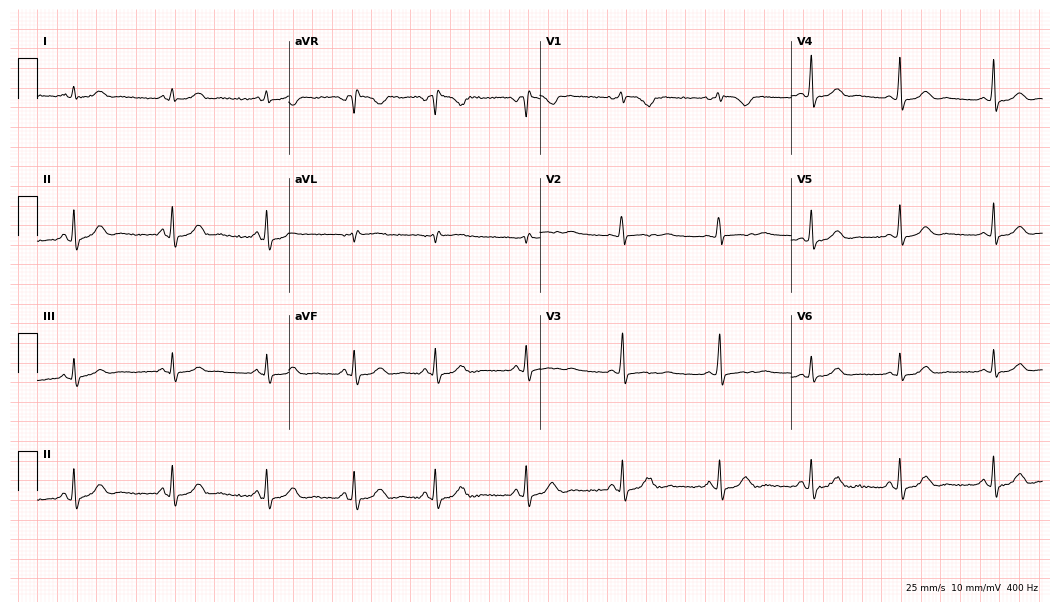
Standard 12-lead ECG recorded from a 32-year-old female (10.2-second recording at 400 Hz). Read as a normal ECG.